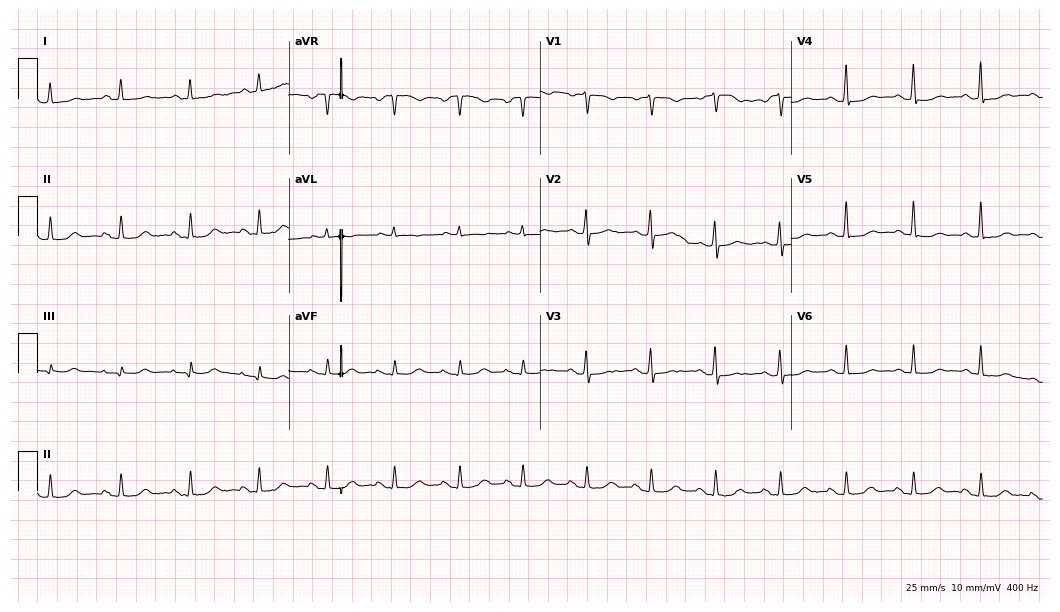
ECG — a female, 55 years old. Screened for six findings — first-degree AV block, right bundle branch block, left bundle branch block, sinus bradycardia, atrial fibrillation, sinus tachycardia — none is recorded. Findings outside these six are not listed.